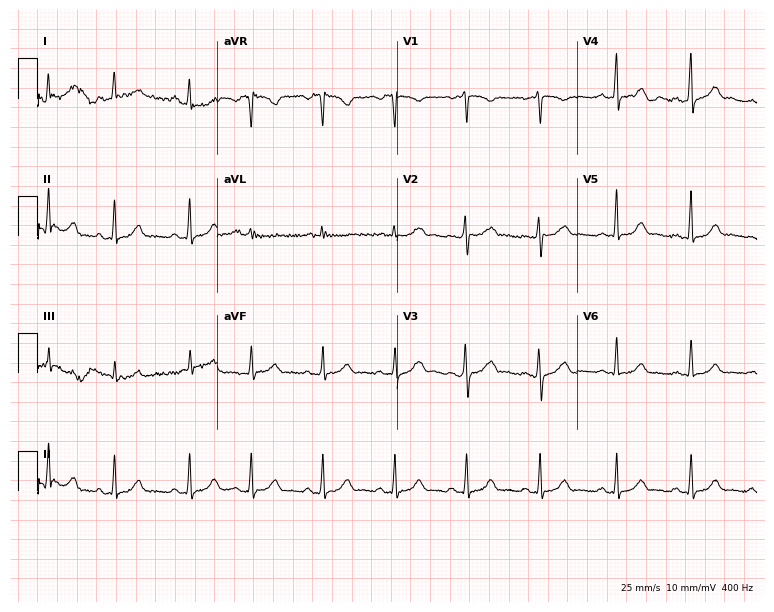
Standard 12-lead ECG recorded from a 24-year-old female patient (7.3-second recording at 400 Hz). Read as a normal ECG.